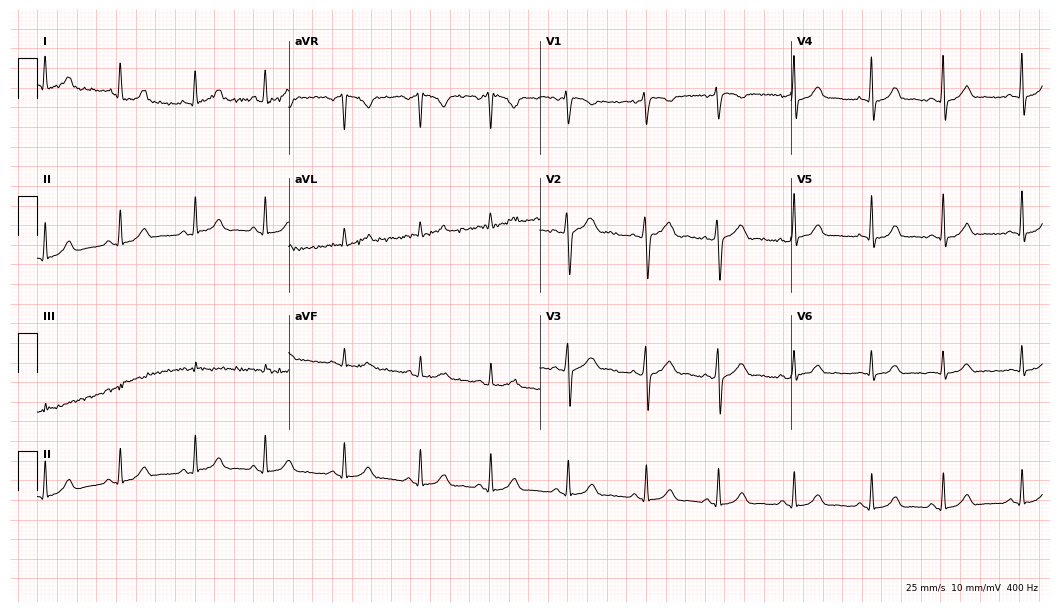
12-lead ECG from a 31-year-old woman. Screened for six findings — first-degree AV block, right bundle branch block, left bundle branch block, sinus bradycardia, atrial fibrillation, sinus tachycardia — none is recorded. Other findings, if any, are not listed.